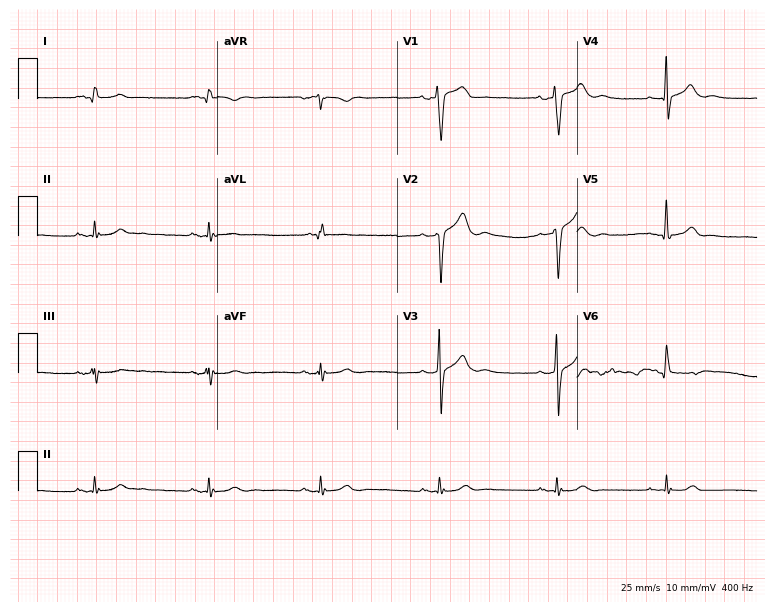
Resting 12-lead electrocardiogram (7.3-second recording at 400 Hz). Patient: a man, 27 years old. Read as a normal ECG.